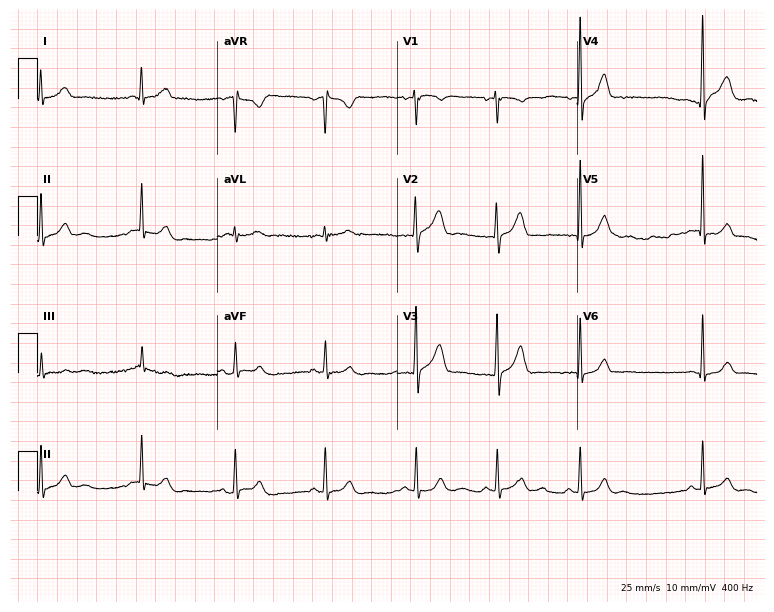
Standard 12-lead ECG recorded from a 27-year-old male patient (7.3-second recording at 400 Hz). None of these six findings is recorded: first-degree AV block, right bundle branch block, left bundle branch block, sinus bradycardia, atrial fibrillation, sinus tachycardia.